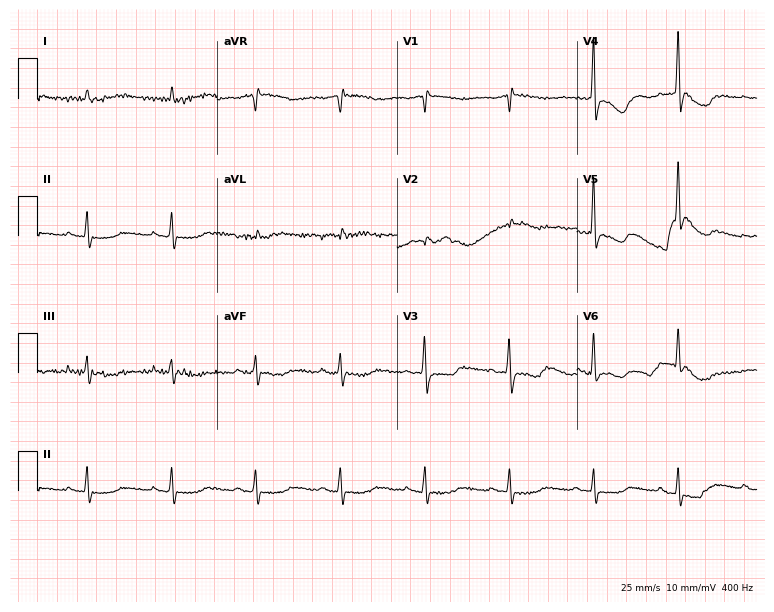
12-lead ECG (7.3-second recording at 400 Hz) from an 84-year-old male patient. Screened for six findings — first-degree AV block, right bundle branch block, left bundle branch block, sinus bradycardia, atrial fibrillation, sinus tachycardia — none is recorded.